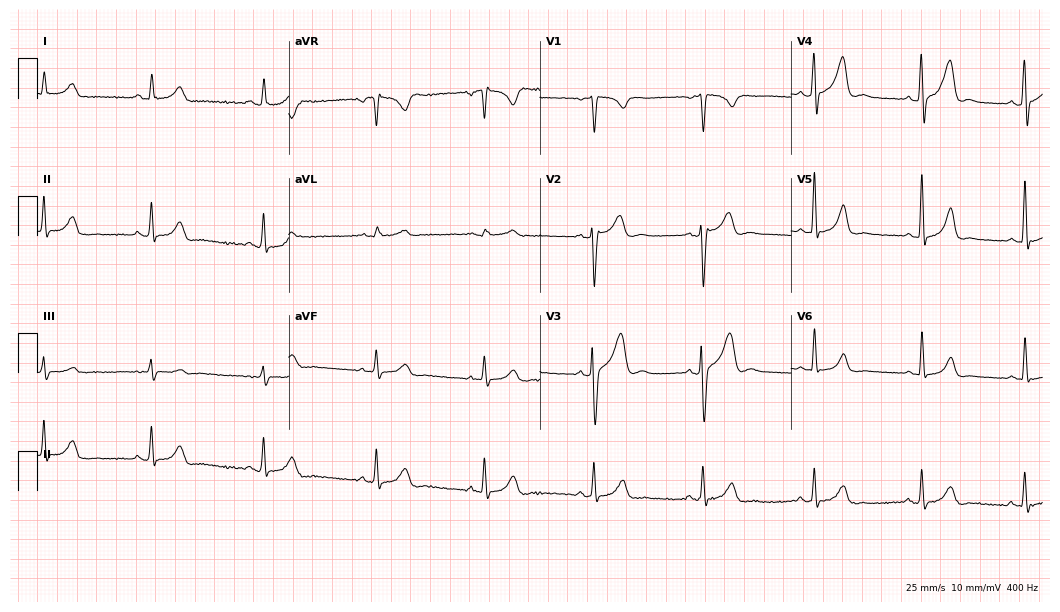
12-lead ECG from a woman, 29 years old. No first-degree AV block, right bundle branch block, left bundle branch block, sinus bradycardia, atrial fibrillation or sinus tachycardia recorded for this tracing. Other findings, if any, are not listed.